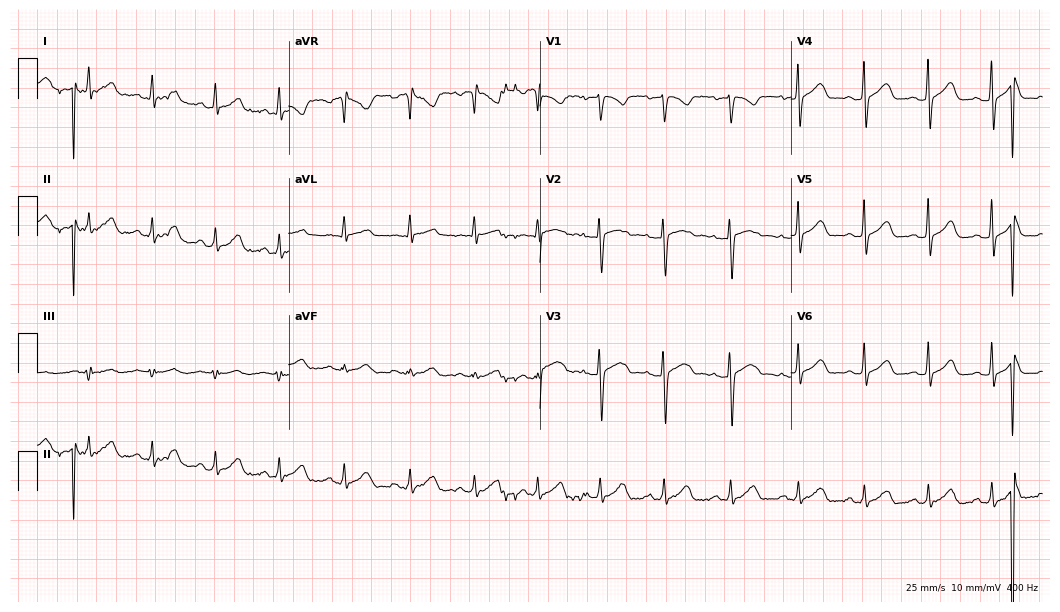
Resting 12-lead electrocardiogram. Patient: a woman, 26 years old. None of these six findings is recorded: first-degree AV block, right bundle branch block, left bundle branch block, sinus bradycardia, atrial fibrillation, sinus tachycardia. Only these six findings were labelled.